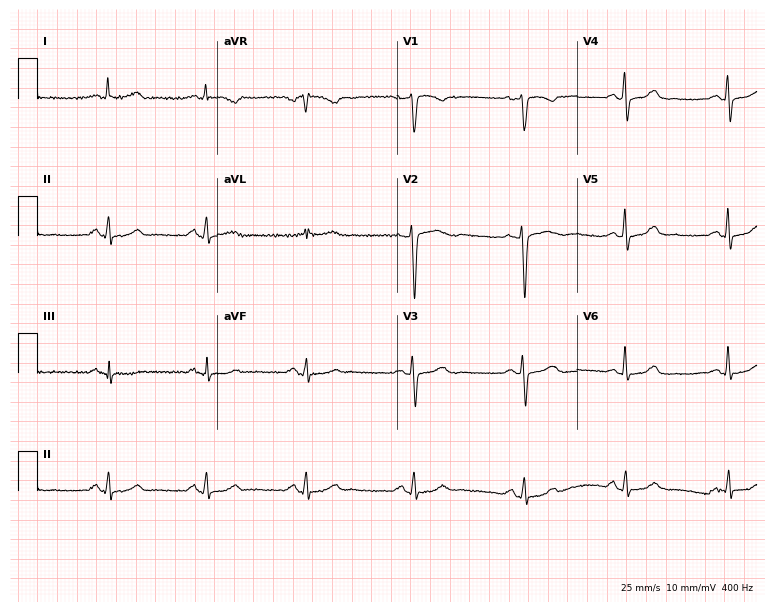
Standard 12-lead ECG recorded from a 49-year-old woman (7.3-second recording at 400 Hz). Read as a normal ECG.